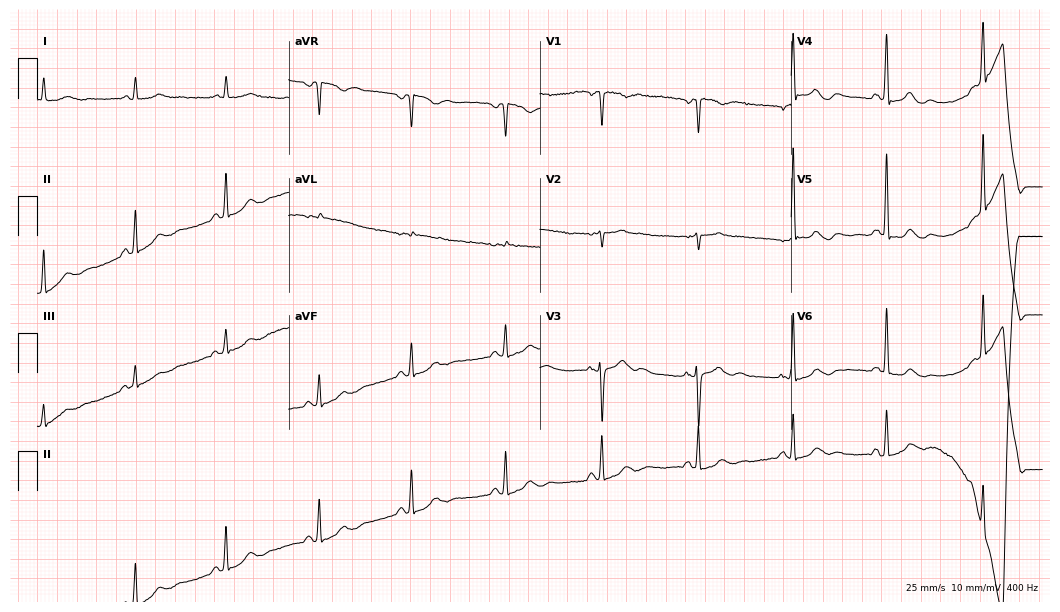
Electrocardiogram (10.2-second recording at 400 Hz), a 66-year-old woman. Of the six screened findings (first-degree AV block, right bundle branch block (RBBB), left bundle branch block (LBBB), sinus bradycardia, atrial fibrillation (AF), sinus tachycardia), none is recorded. Other findings, if any, are not listed.